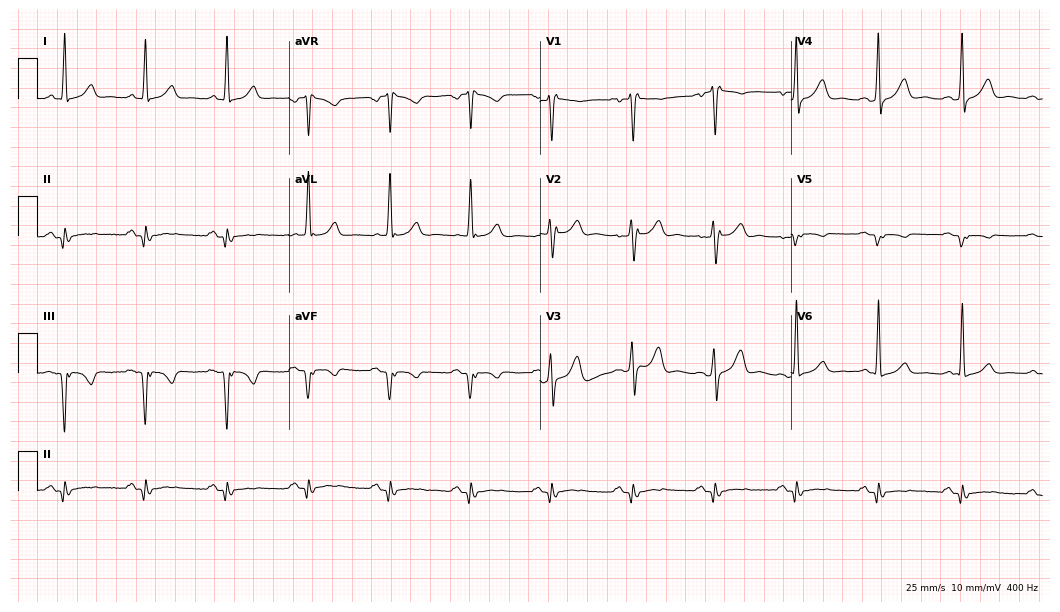
12-lead ECG from a 48-year-old male. Screened for six findings — first-degree AV block, right bundle branch block, left bundle branch block, sinus bradycardia, atrial fibrillation, sinus tachycardia — none is recorded.